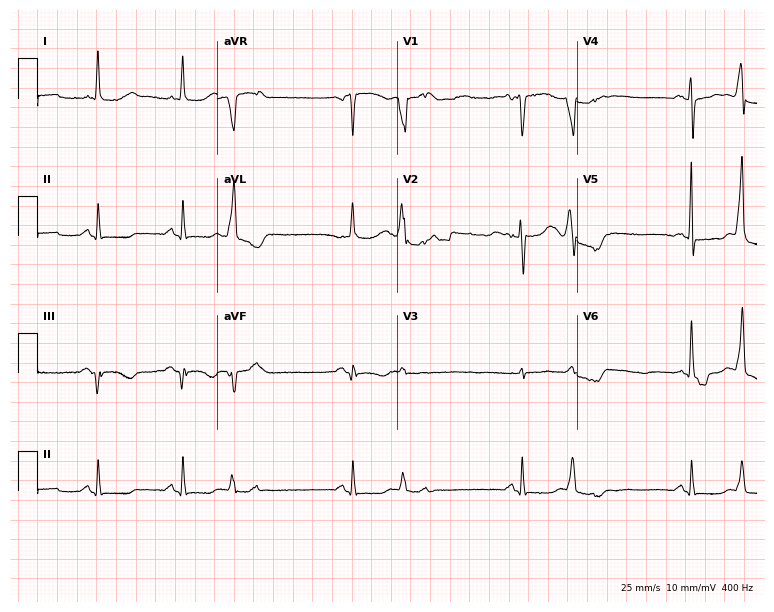
Electrocardiogram, a woman, 79 years old. Of the six screened findings (first-degree AV block, right bundle branch block (RBBB), left bundle branch block (LBBB), sinus bradycardia, atrial fibrillation (AF), sinus tachycardia), none is recorded. Only these six findings were labelled.